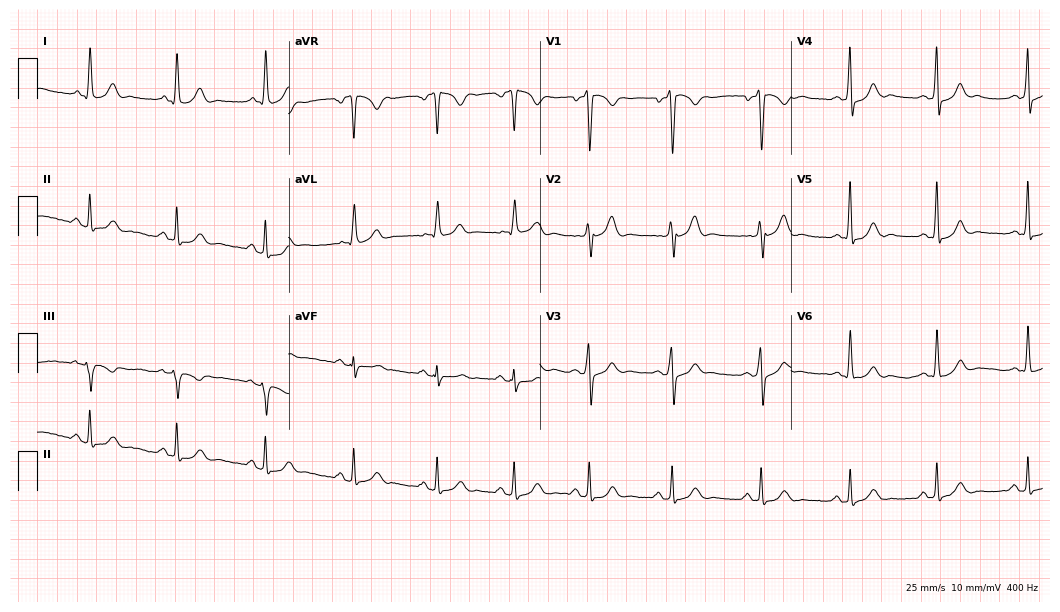
ECG — a male patient, 33 years old. Labelled as a normal ECG.